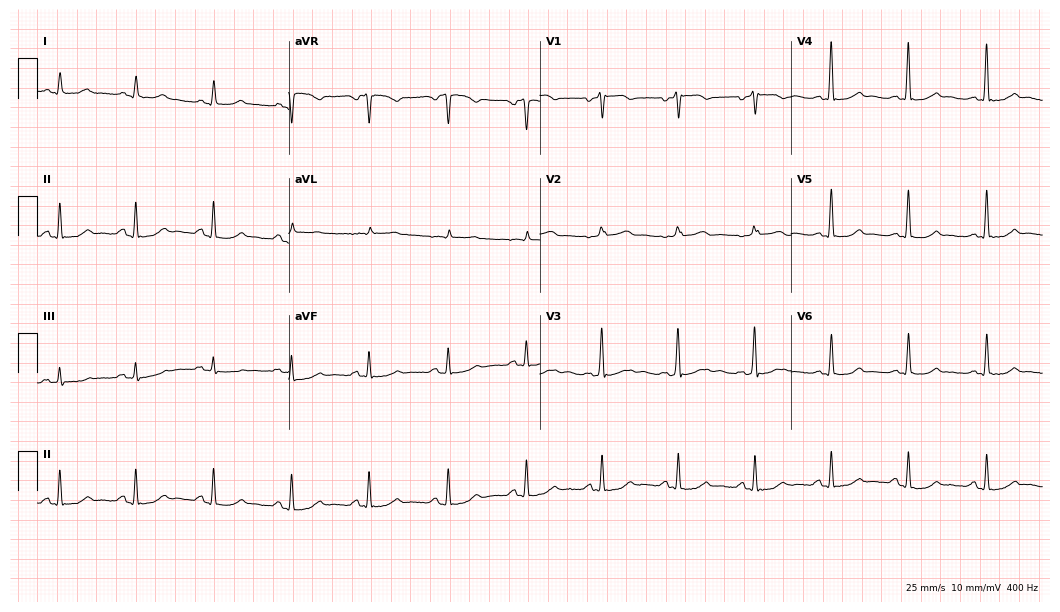
Standard 12-lead ECG recorded from a female patient, 52 years old. None of these six findings is recorded: first-degree AV block, right bundle branch block (RBBB), left bundle branch block (LBBB), sinus bradycardia, atrial fibrillation (AF), sinus tachycardia. Only these six findings were labelled.